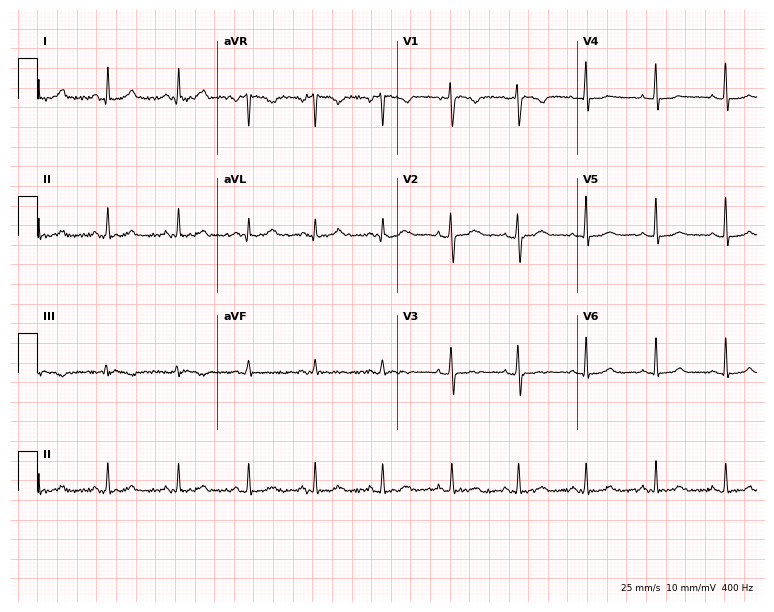
Resting 12-lead electrocardiogram (7.3-second recording at 400 Hz). Patient: a 31-year-old female. Read as a normal ECG.